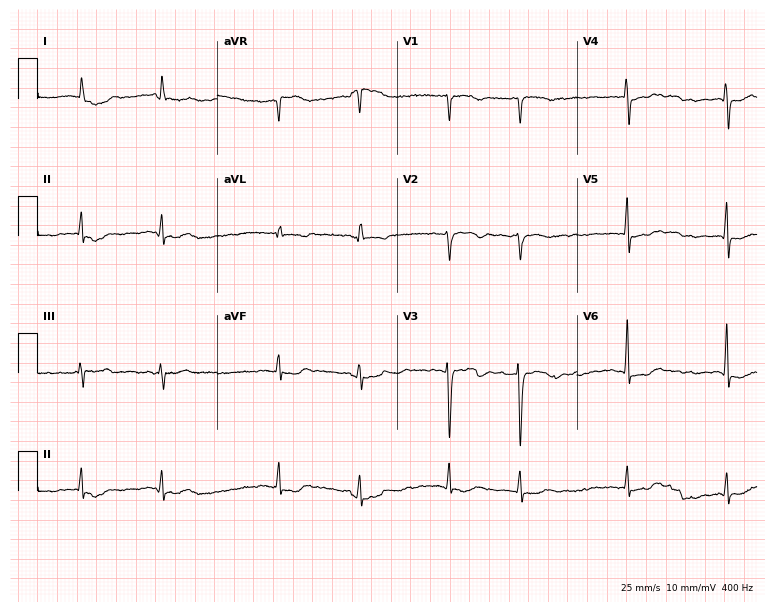
Standard 12-lead ECG recorded from an 83-year-old female. The tracing shows atrial fibrillation.